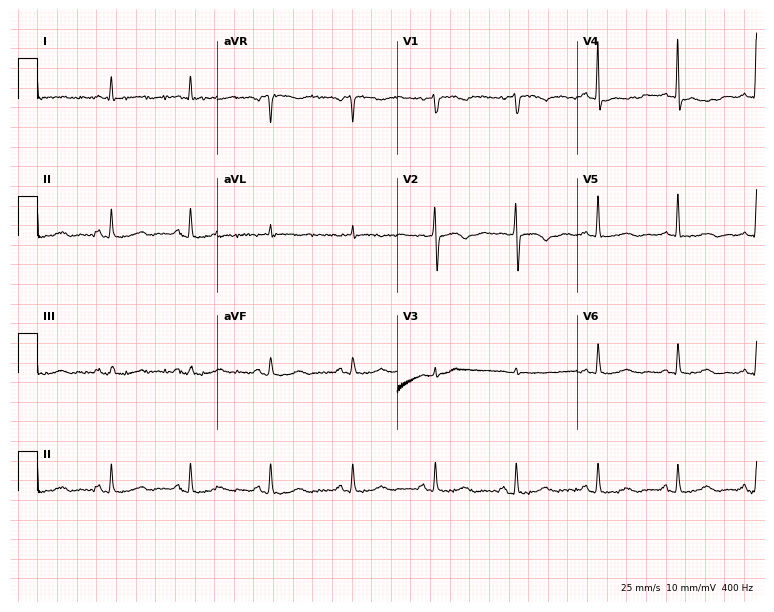
Resting 12-lead electrocardiogram (7.3-second recording at 400 Hz). Patient: a 64-year-old female. None of these six findings is recorded: first-degree AV block, right bundle branch block (RBBB), left bundle branch block (LBBB), sinus bradycardia, atrial fibrillation (AF), sinus tachycardia. Other findings, if any, are not listed.